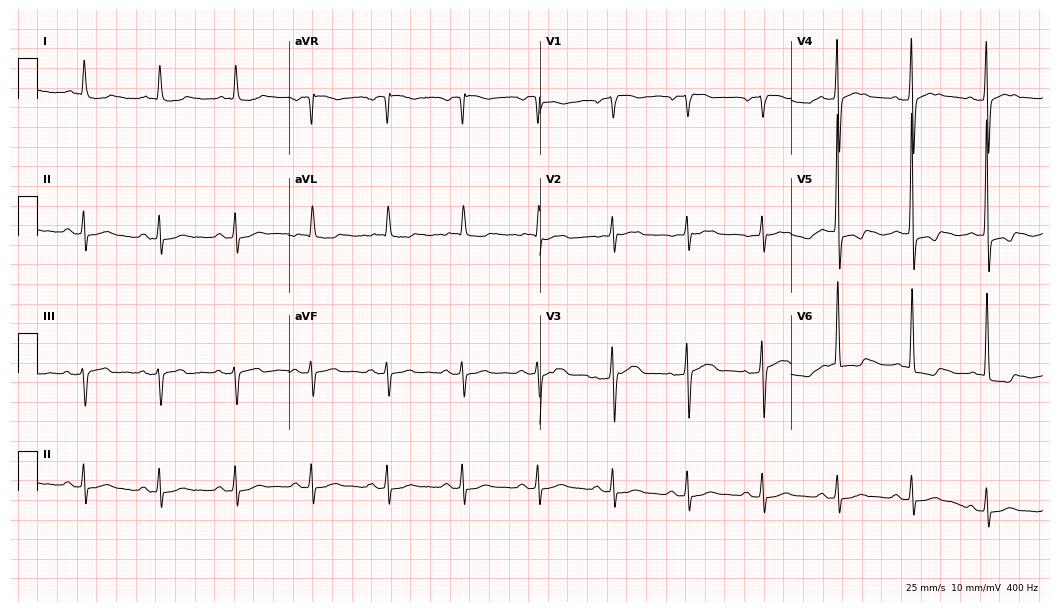
Resting 12-lead electrocardiogram. Patient: a 76-year-old female. None of these six findings is recorded: first-degree AV block, right bundle branch block, left bundle branch block, sinus bradycardia, atrial fibrillation, sinus tachycardia.